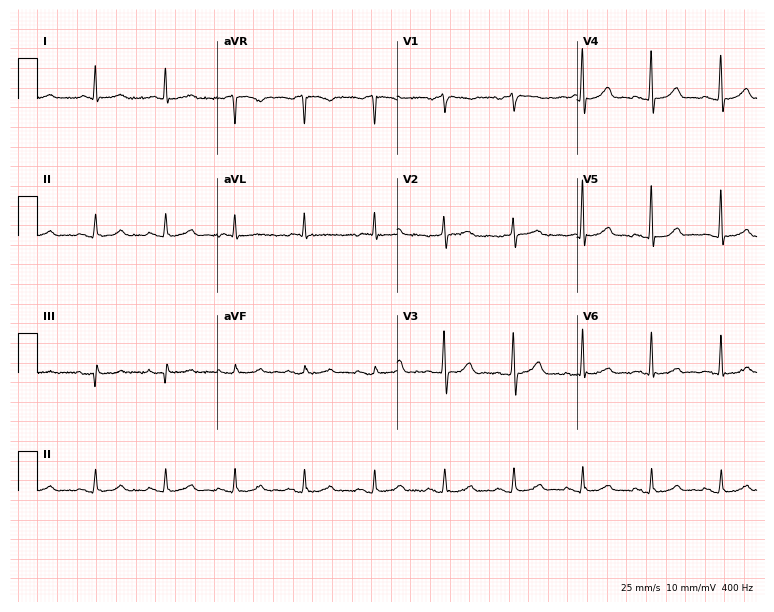
Electrocardiogram, an 81-year-old man. Of the six screened findings (first-degree AV block, right bundle branch block (RBBB), left bundle branch block (LBBB), sinus bradycardia, atrial fibrillation (AF), sinus tachycardia), none is recorded. Other findings, if any, are not listed.